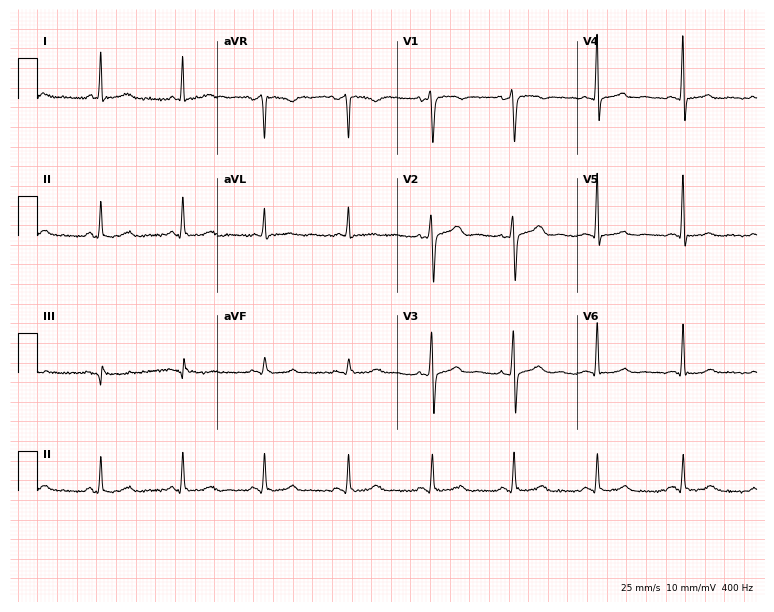
ECG (7.3-second recording at 400 Hz) — a 52-year-old female patient. Labelled as a normal ECG.